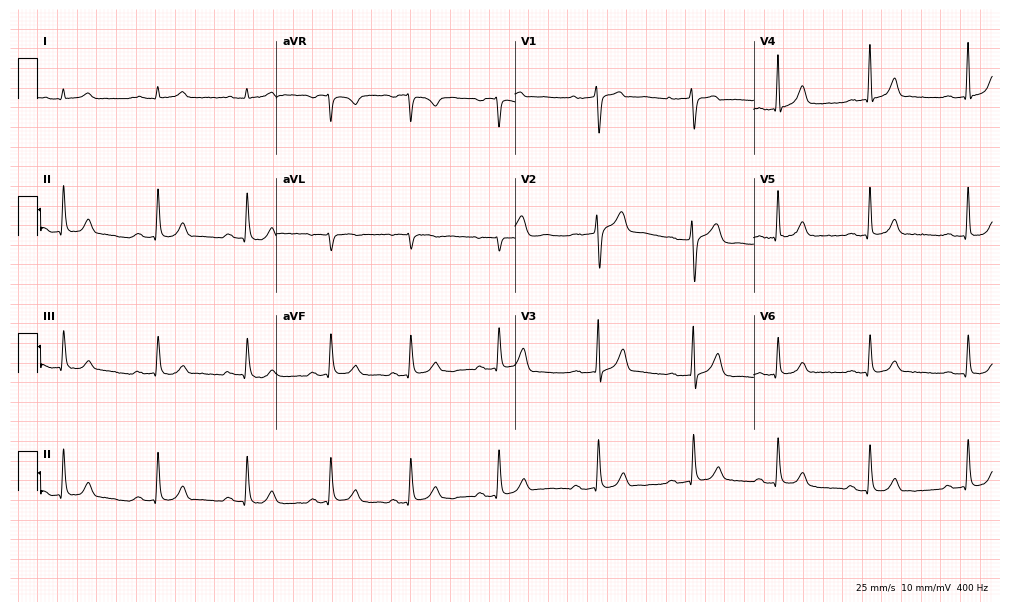
Standard 12-lead ECG recorded from a 40-year-old man. Read as a normal ECG.